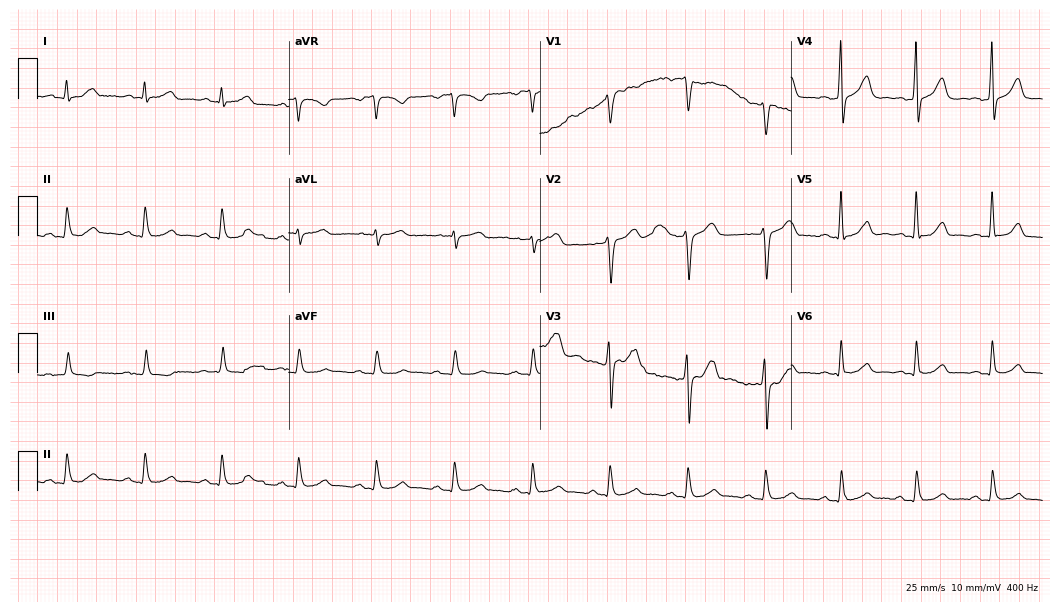
Standard 12-lead ECG recorded from a 51-year-old man (10.2-second recording at 400 Hz). Read as a normal ECG.